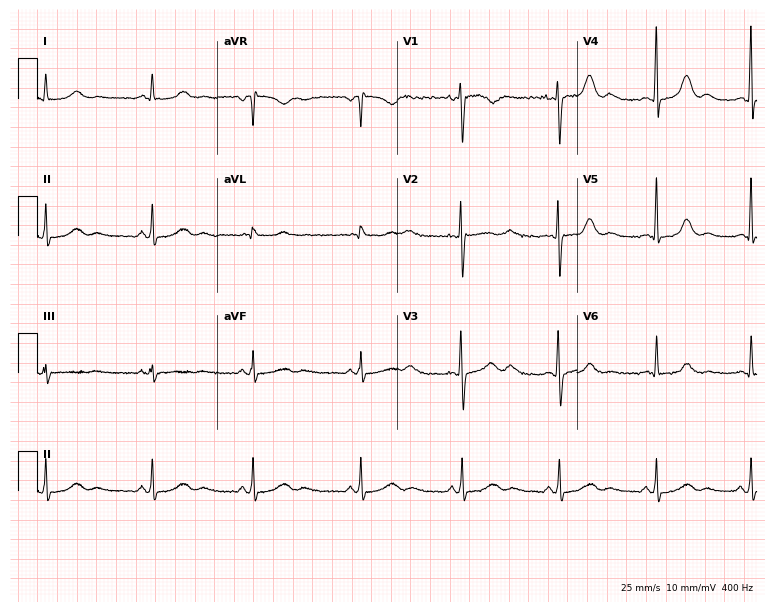
Resting 12-lead electrocardiogram. Patient: a female, 24 years old. None of these six findings is recorded: first-degree AV block, right bundle branch block, left bundle branch block, sinus bradycardia, atrial fibrillation, sinus tachycardia. Findings outside these six are not listed.